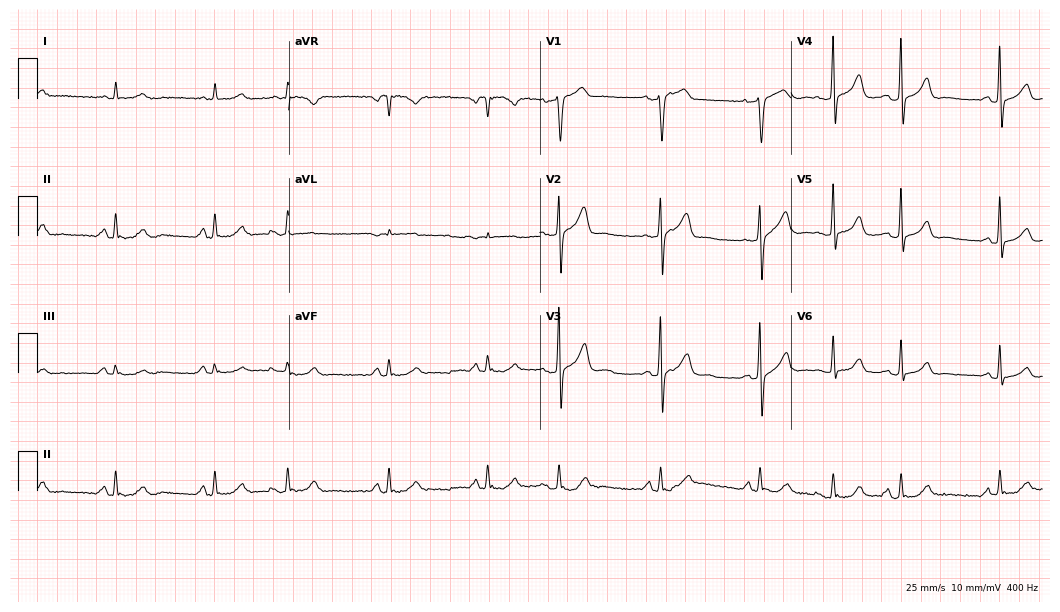
Electrocardiogram, a male patient, 70 years old. Overall reading on record: normal ECG.